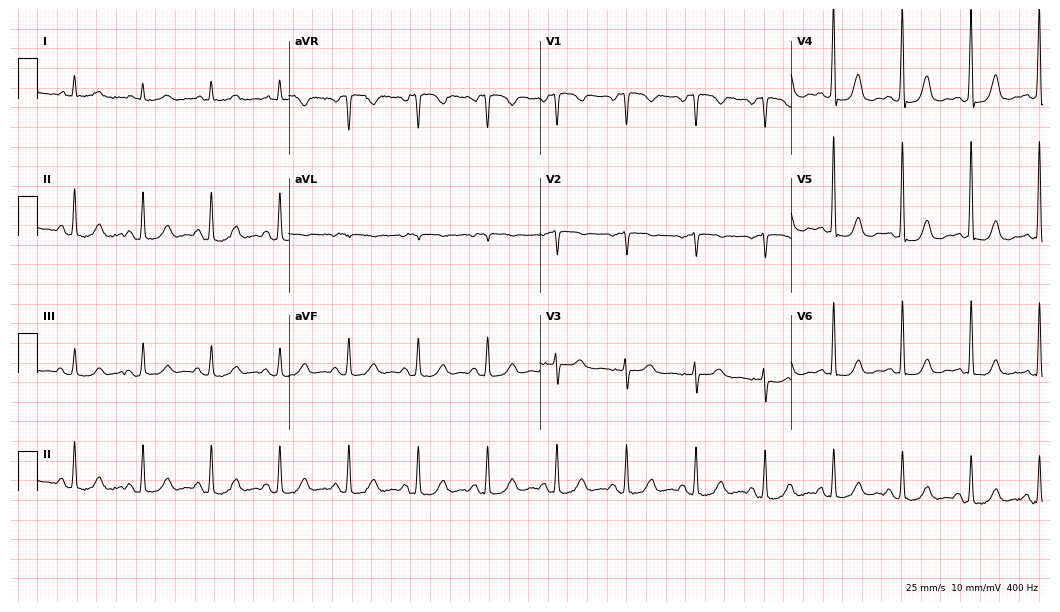
ECG (10.2-second recording at 400 Hz) — an 81-year-old male. Screened for six findings — first-degree AV block, right bundle branch block, left bundle branch block, sinus bradycardia, atrial fibrillation, sinus tachycardia — none is recorded. Other findings, if any, are not listed.